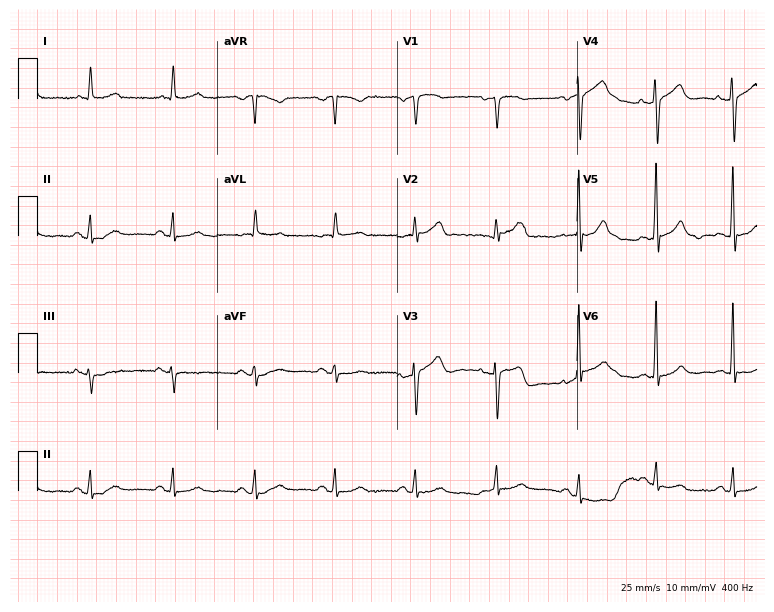
ECG (7.3-second recording at 400 Hz) — a 79-year-old woman. Labelled as a normal ECG.